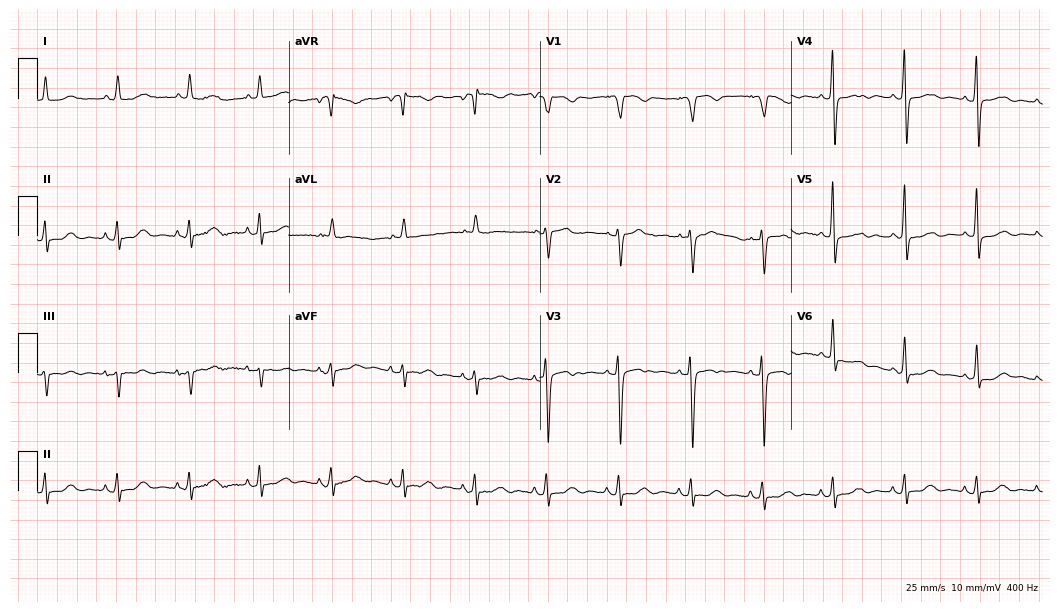
12-lead ECG from a female, 74 years old. Recorded interpretation: within normal limits.